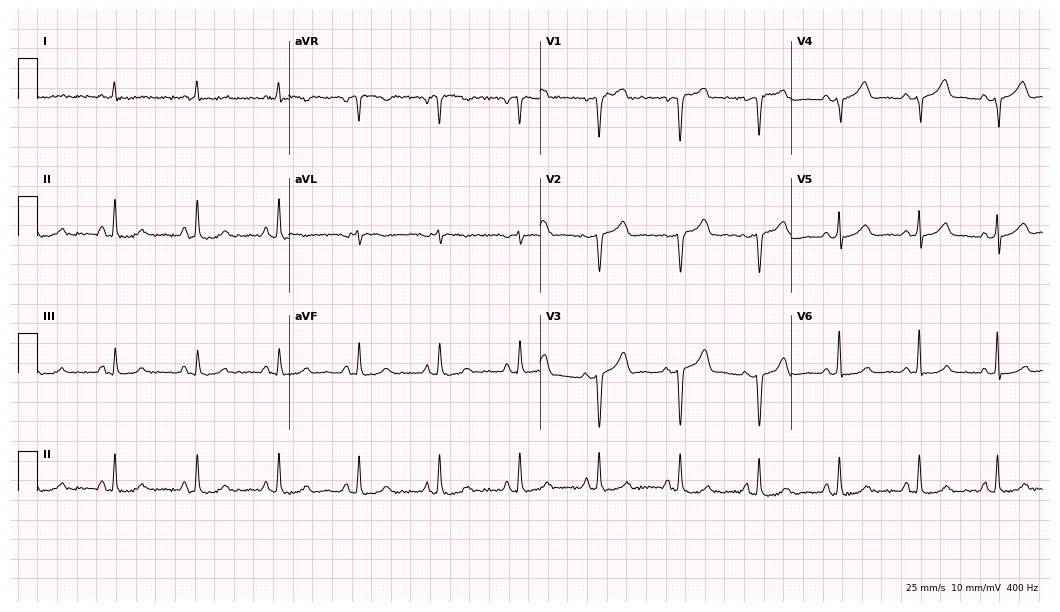
Standard 12-lead ECG recorded from a 56-year-old female patient (10.2-second recording at 400 Hz). Read as a normal ECG.